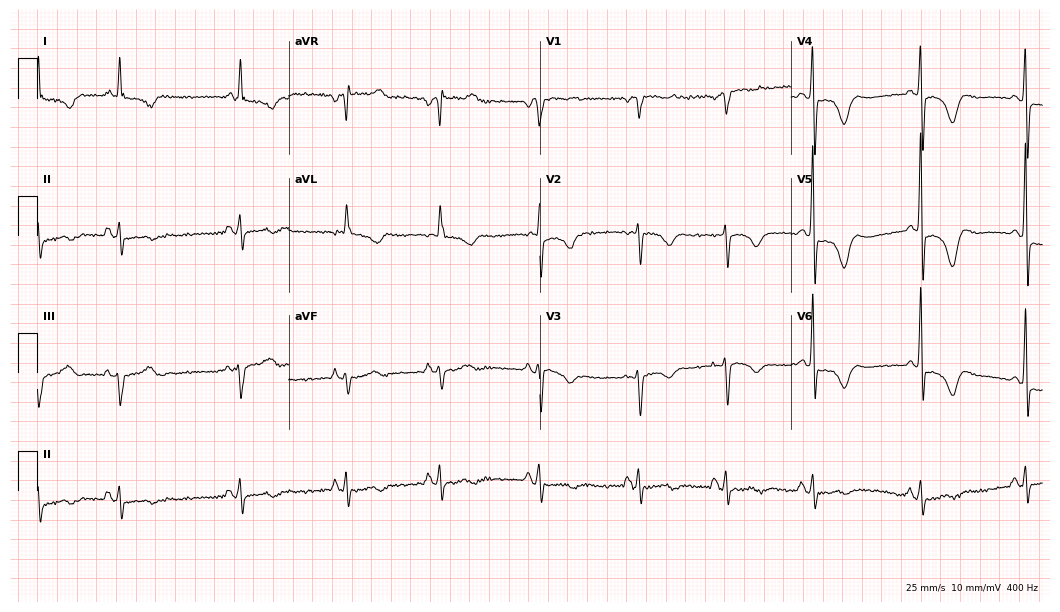
12-lead ECG from a female, 76 years old. Screened for six findings — first-degree AV block, right bundle branch block, left bundle branch block, sinus bradycardia, atrial fibrillation, sinus tachycardia — none is recorded.